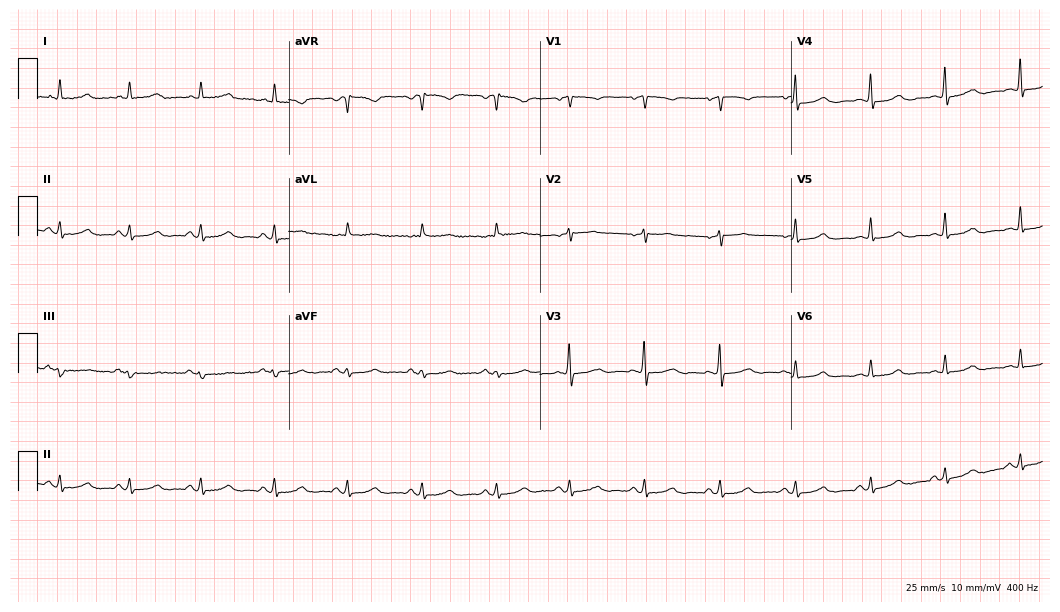
Electrocardiogram (10.2-second recording at 400 Hz), a 63-year-old female. Of the six screened findings (first-degree AV block, right bundle branch block (RBBB), left bundle branch block (LBBB), sinus bradycardia, atrial fibrillation (AF), sinus tachycardia), none is recorded.